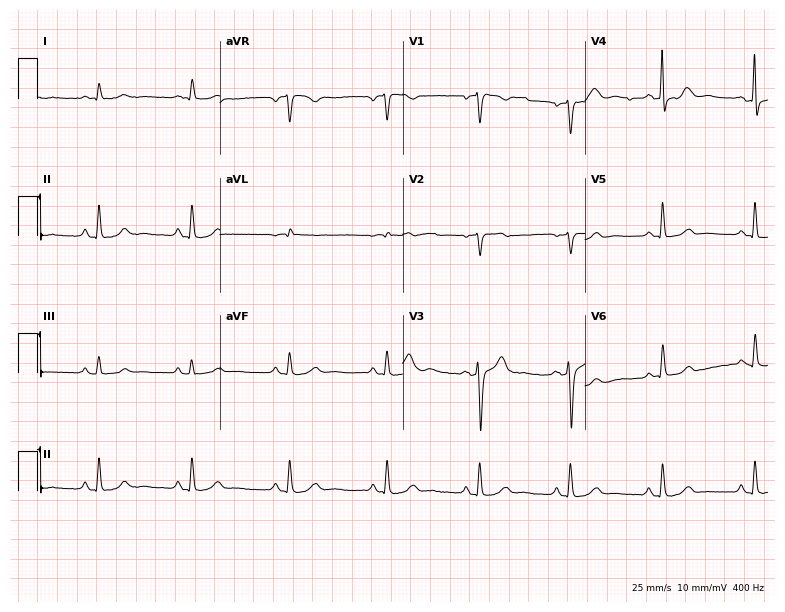
12-lead ECG from a 50-year-old female. Labelled as a normal ECG.